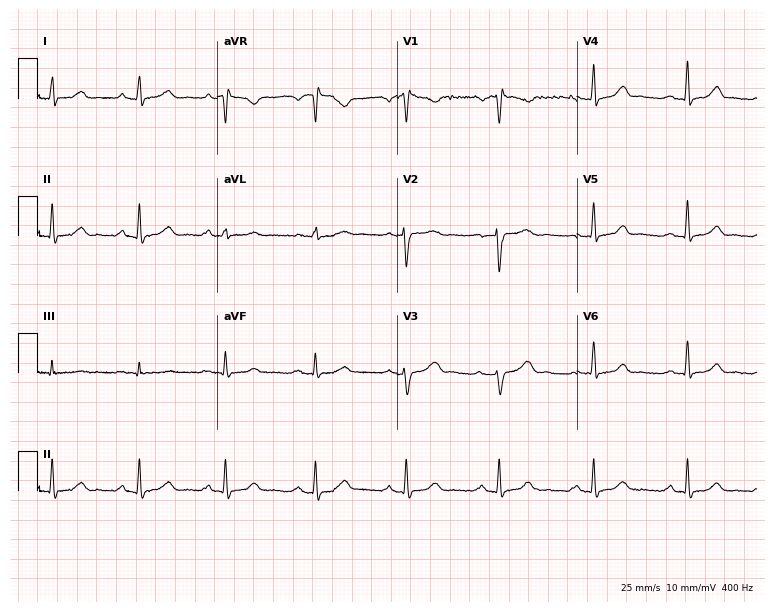
Resting 12-lead electrocardiogram. Patient: a woman, 39 years old. None of these six findings is recorded: first-degree AV block, right bundle branch block, left bundle branch block, sinus bradycardia, atrial fibrillation, sinus tachycardia.